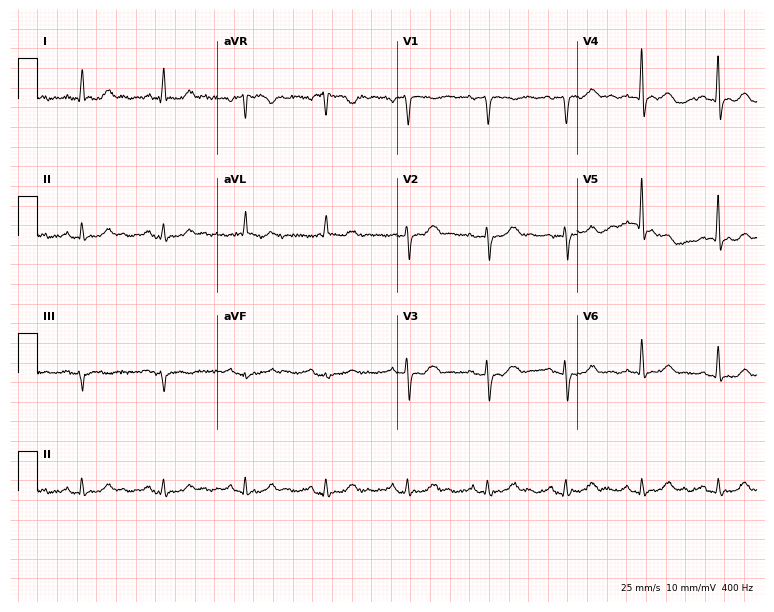
12-lead ECG from a 65-year-old woman. No first-degree AV block, right bundle branch block, left bundle branch block, sinus bradycardia, atrial fibrillation or sinus tachycardia recorded for this tracing. Other findings, if any, are not listed.